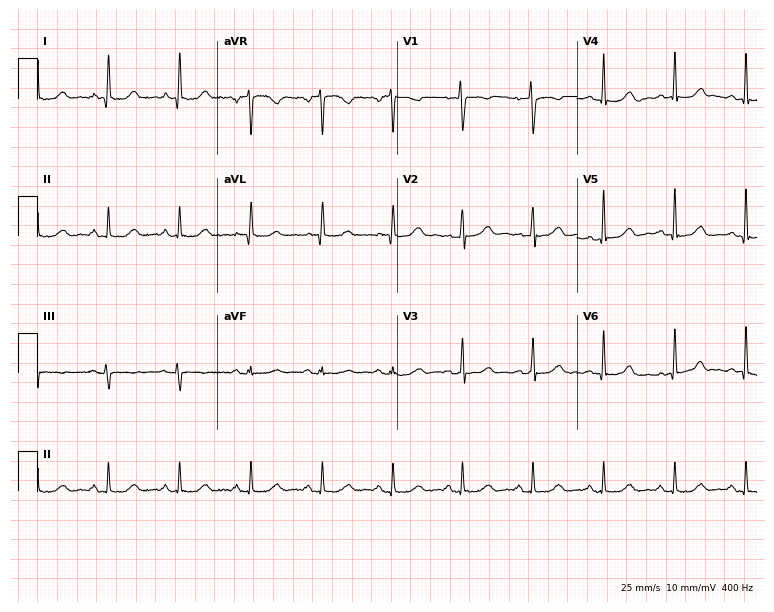
Electrocardiogram (7.3-second recording at 400 Hz), a 47-year-old female patient. Of the six screened findings (first-degree AV block, right bundle branch block (RBBB), left bundle branch block (LBBB), sinus bradycardia, atrial fibrillation (AF), sinus tachycardia), none is recorded.